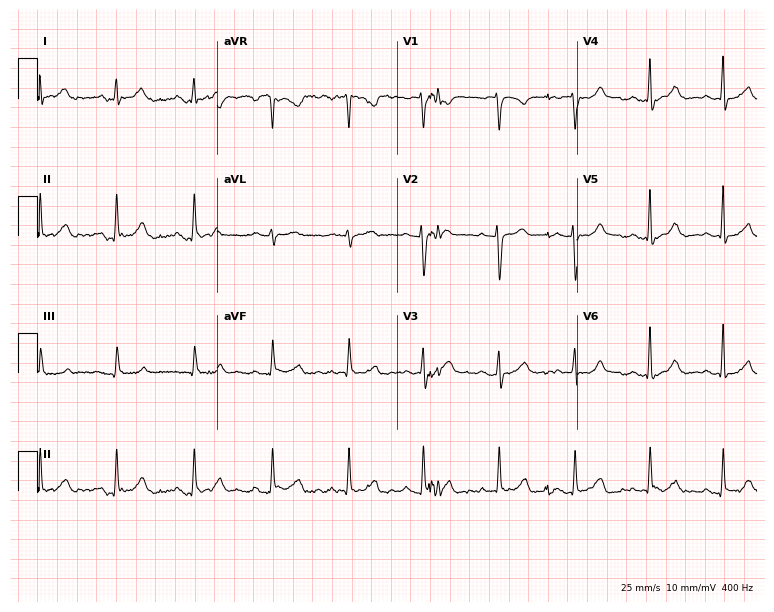
Resting 12-lead electrocardiogram (7.3-second recording at 400 Hz). Patient: a 35-year-old female. None of these six findings is recorded: first-degree AV block, right bundle branch block, left bundle branch block, sinus bradycardia, atrial fibrillation, sinus tachycardia.